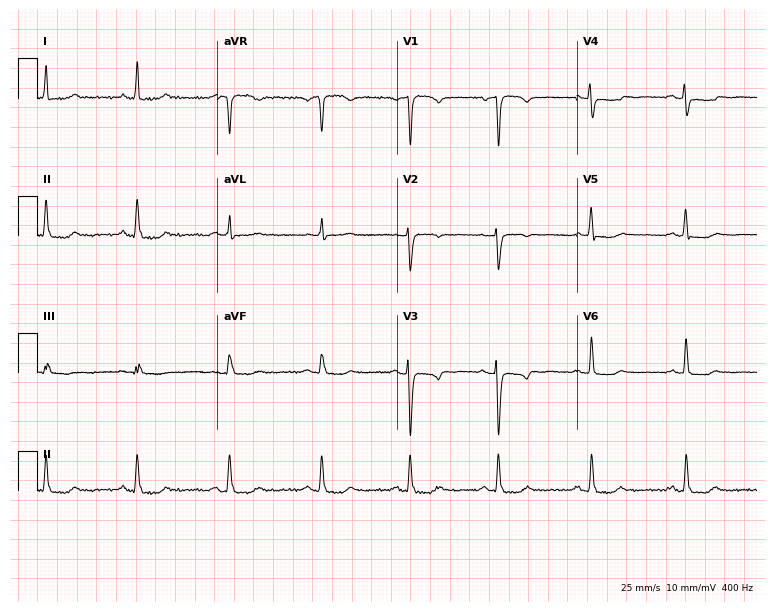
ECG — a 64-year-old woman. Labelled as a normal ECG.